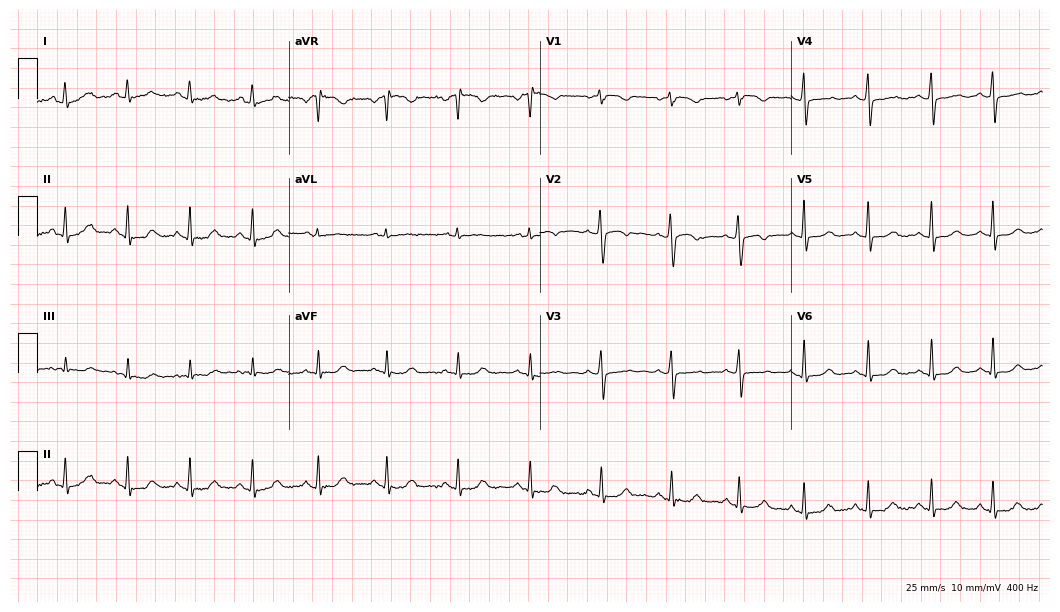
ECG — a 56-year-old woman. Screened for six findings — first-degree AV block, right bundle branch block (RBBB), left bundle branch block (LBBB), sinus bradycardia, atrial fibrillation (AF), sinus tachycardia — none is recorded. Only these six findings were labelled.